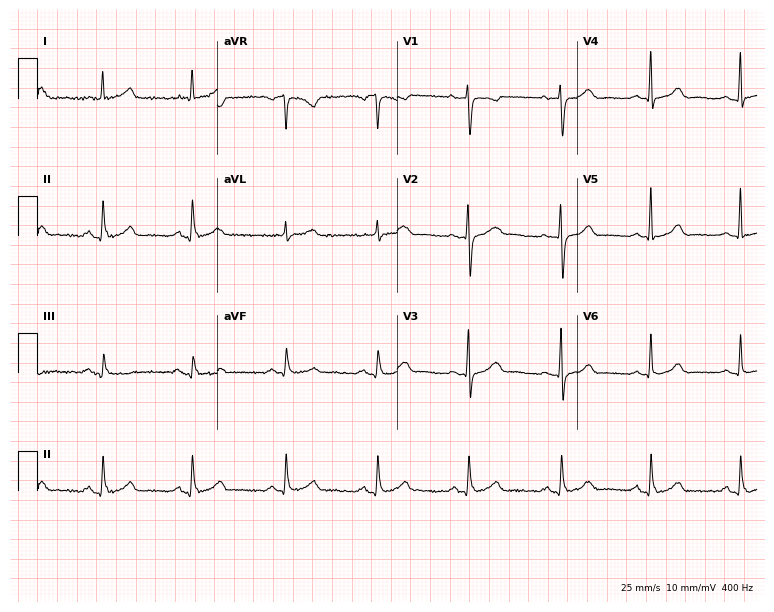
12-lead ECG from a 57-year-old woman (7.3-second recording at 400 Hz). No first-degree AV block, right bundle branch block, left bundle branch block, sinus bradycardia, atrial fibrillation or sinus tachycardia recorded for this tracing. Findings outside these six are not listed.